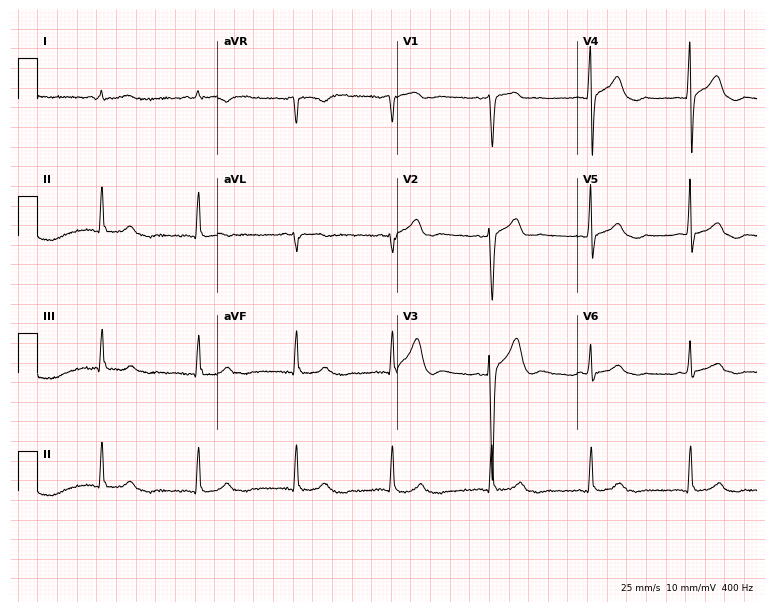
ECG — a man, 60 years old. Screened for six findings — first-degree AV block, right bundle branch block, left bundle branch block, sinus bradycardia, atrial fibrillation, sinus tachycardia — none is recorded. Other findings, if any, are not listed.